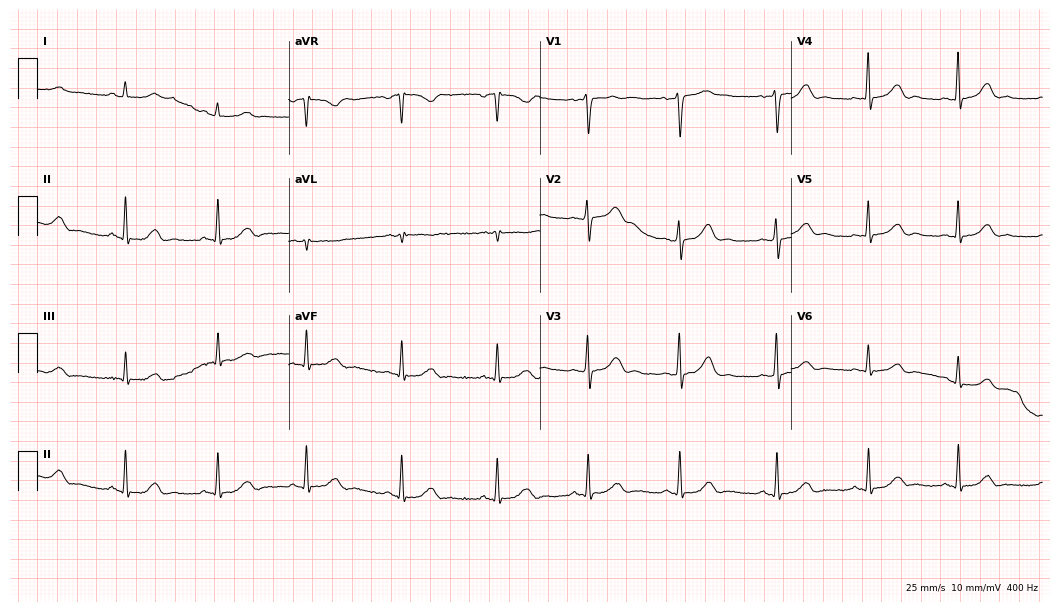
Standard 12-lead ECG recorded from a woman, 39 years old (10.2-second recording at 400 Hz). None of these six findings is recorded: first-degree AV block, right bundle branch block, left bundle branch block, sinus bradycardia, atrial fibrillation, sinus tachycardia. Findings outside these six are not listed.